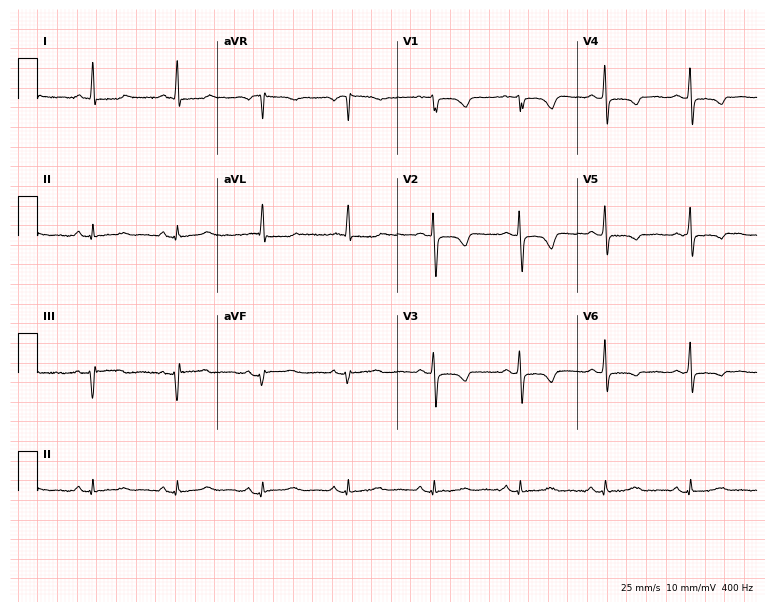
12-lead ECG from a 67-year-old female patient. Screened for six findings — first-degree AV block, right bundle branch block, left bundle branch block, sinus bradycardia, atrial fibrillation, sinus tachycardia — none is recorded. Only these six findings were labelled.